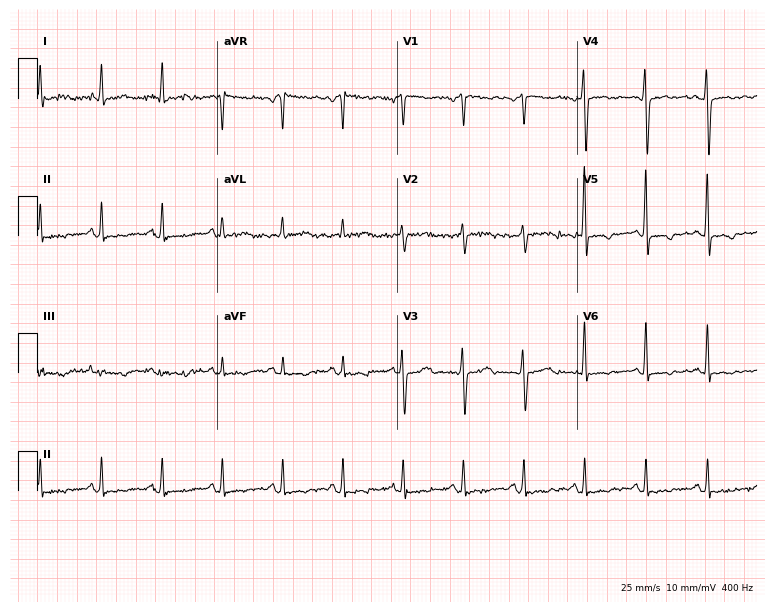
Standard 12-lead ECG recorded from a woman, 51 years old. Read as a normal ECG.